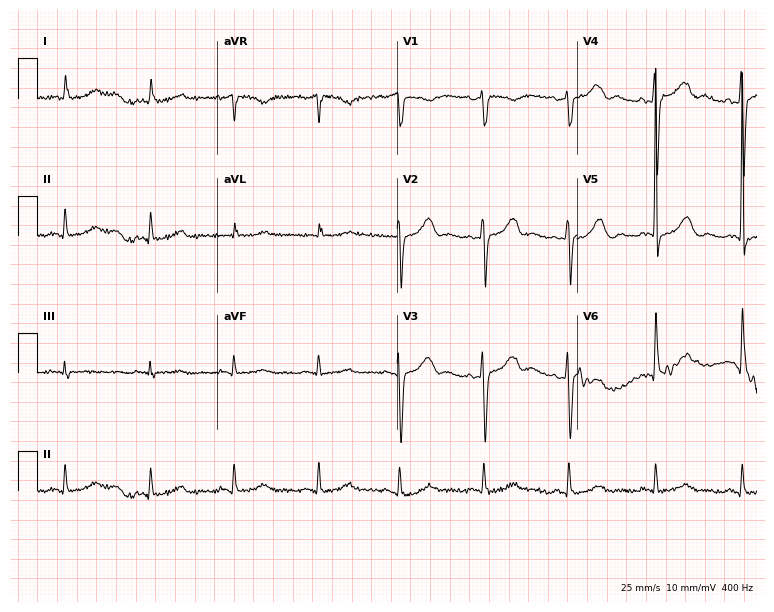
Electrocardiogram (7.3-second recording at 400 Hz), a 73-year-old male patient. Of the six screened findings (first-degree AV block, right bundle branch block (RBBB), left bundle branch block (LBBB), sinus bradycardia, atrial fibrillation (AF), sinus tachycardia), none is recorded.